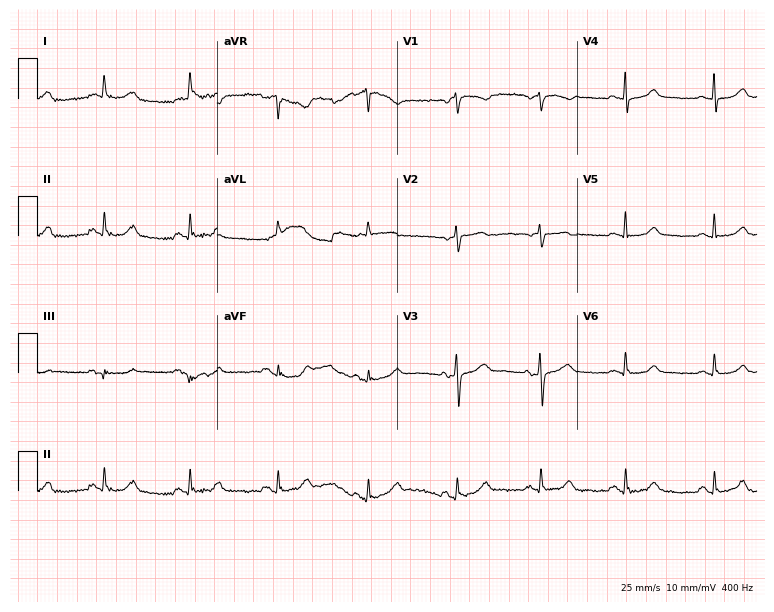
Standard 12-lead ECG recorded from a female patient, 54 years old (7.3-second recording at 400 Hz). None of these six findings is recorded: first-degree AV block, right bundle branch block (RBBB), left bundle branch block (LBBB), sinus bradycardia, atrial fibrillation (AF), sinus tachycardia. Only these six findings were labelled.